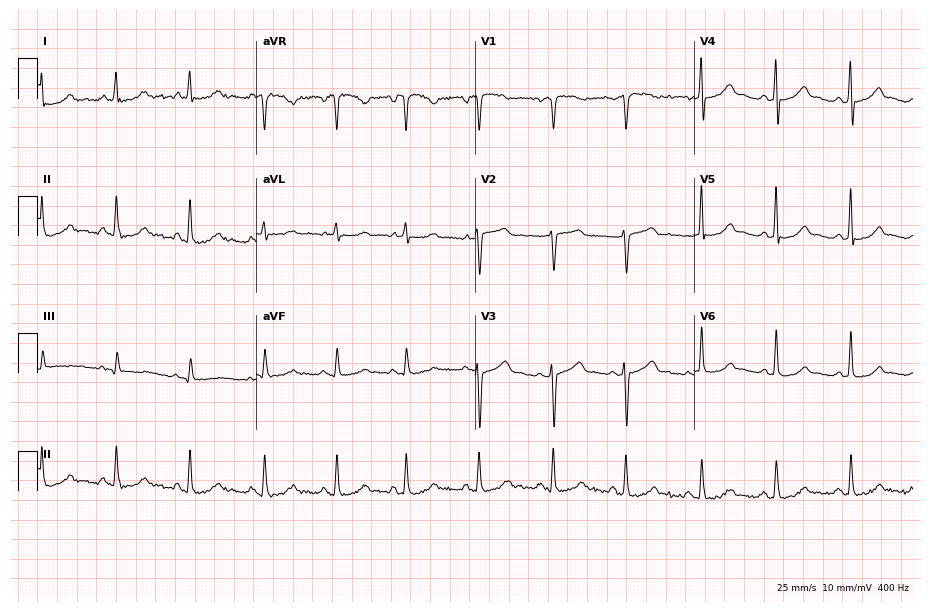
Resting 12-lead electrocardiogram (8.9-second recording at 400 Hz). Patient: a 50-year-old female. None of these six findings is recorded: first-degree AV block, right bundle branch block, left bundle branch block, sinus bradycardia, atrial fibrillation, sinus tachycardia.